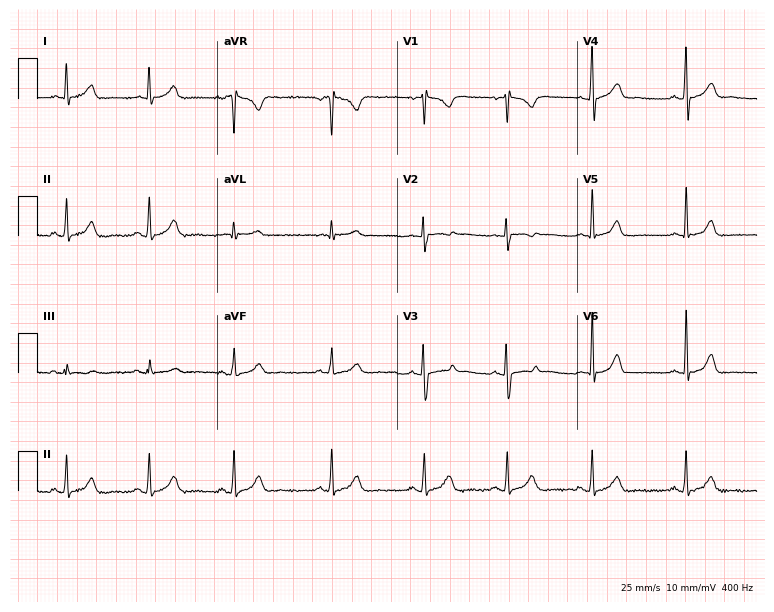
12-lead ECG from a 41-year-old woman. No first-degree AV block, right bundle branch block (RBBB), left bundle branch block (LBBB), sinus bradycardia, atrial fibrillation (AF) or sinus tachycardia recorded for this tracing. Other findings, if any, are not listed.